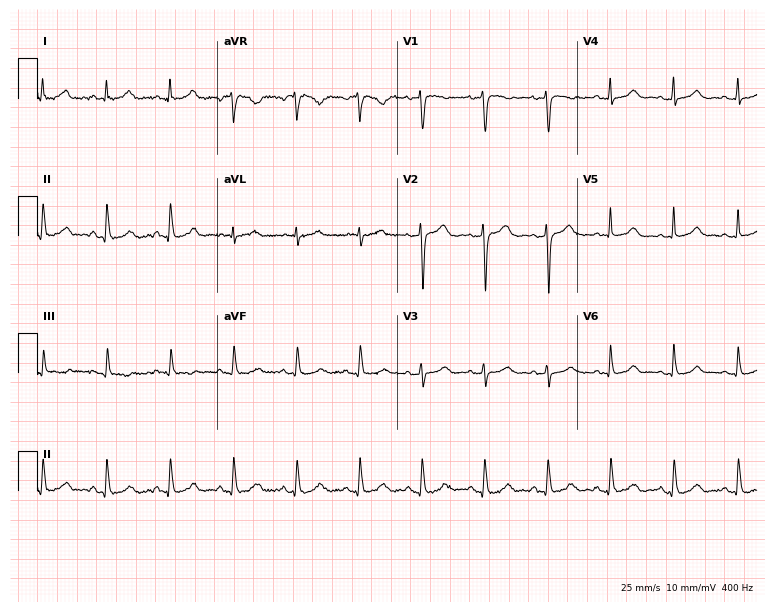
ECG (7.3-second recording at 400 Hz) — a female, 40 years old. Labelled as a normal ECG.